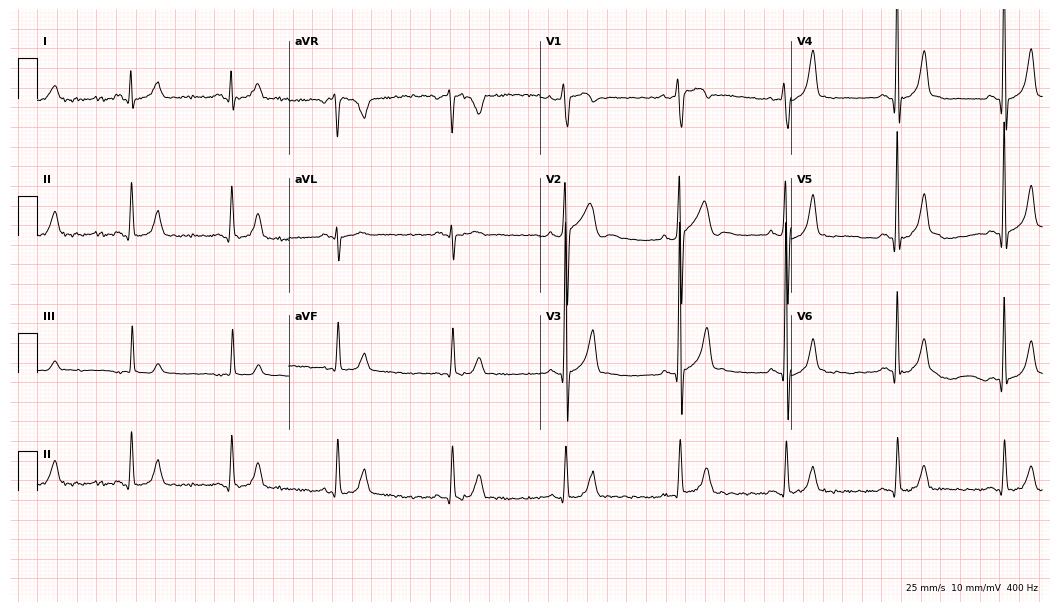
ECG — a man, 28 years old. Labelled as a normal ECG.